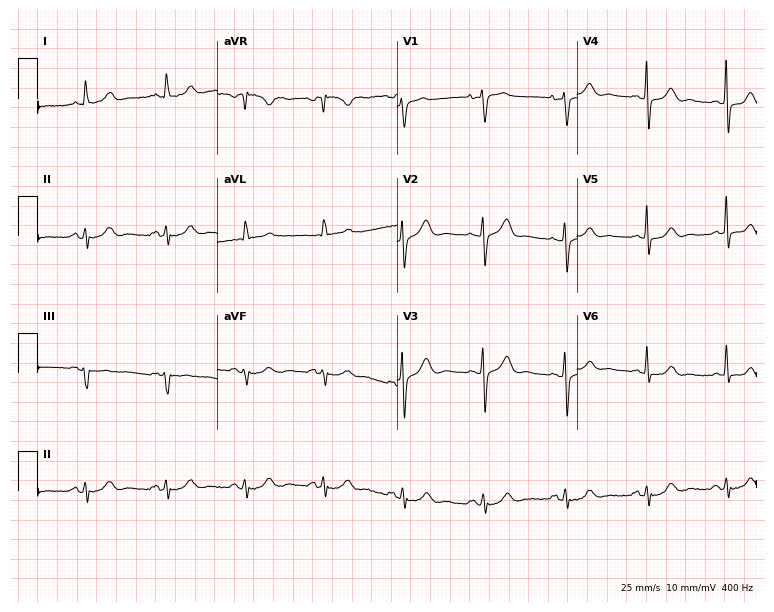
12-lead ECG (7.3-second recording at 400 Hz) from a 71-year-old female patient. Screened for six findings — first-degree AV block, right bundle branch block, left bundle branch block, sinus bradycardia, atrial fibrillation, sinus tachycardia — none is recorded.